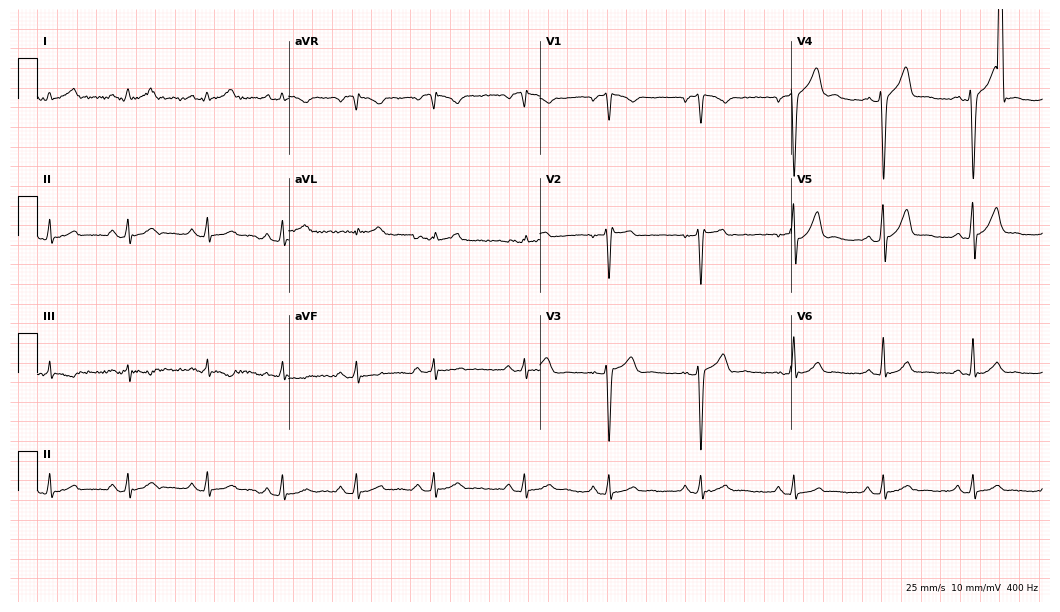
12-lead ECG from a 28-year-old male patient (10.2-second recording at 400 Hz). No first-degree AV block, right bundle branch block, left bundle branch block, sinus bradycardia, atrial fibrillation or sinus tachycardia recorded for this tracing. Findings outside these six are not listed.